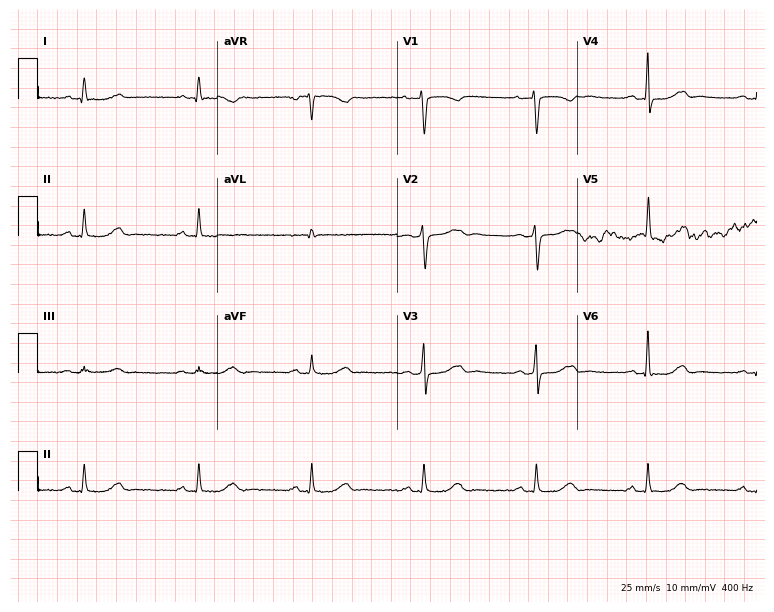
ECG (7.3-second recording at 400 Hz) — a 50-year-old woman. Screened for six findings — first-degree AV block, right bundle branch block, left bundle branch block, sinus bradycardia, atrial fibrillation, sinus tachycardia — none is recorded.